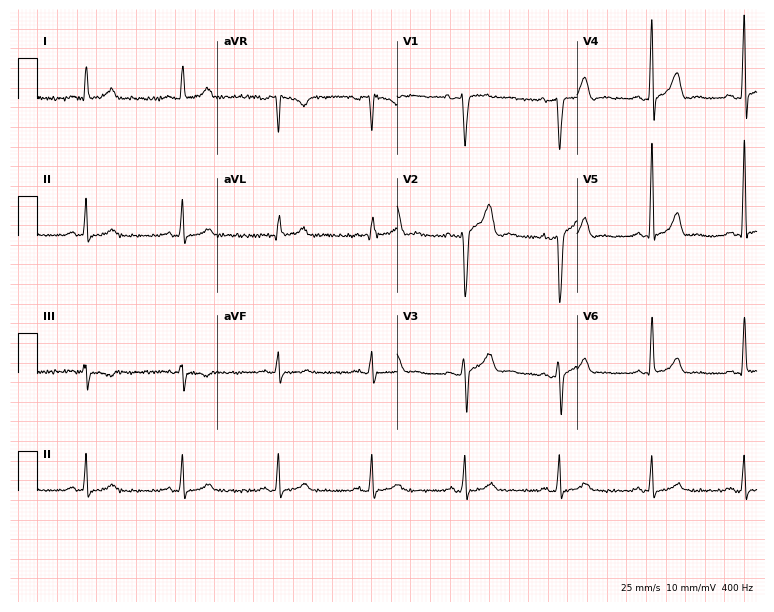
12-lead ECG (7.3-second recording at 400 Hz) from a male patient, 43 years old. Screened for six findings — first-degree AV block, right bundle branch block (RBBB), left bundle branch block (LBBB), sinus bradycardia, atrial fibrillation (AF), sinus tachycardia — none is recorded. Other findings, if any, are not listed.